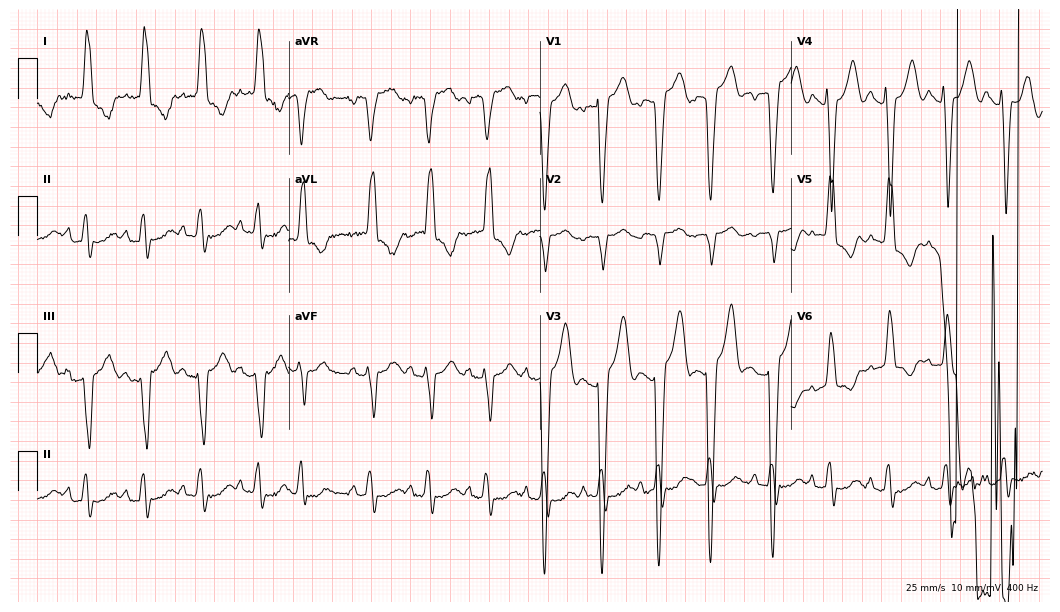
12-lead ECG from a female, 83 years old (10.2-second recording at 400 Hz). Shows left bundle branch block, sinus tachycardia (a sinus rate of 100 beats per minute or more).